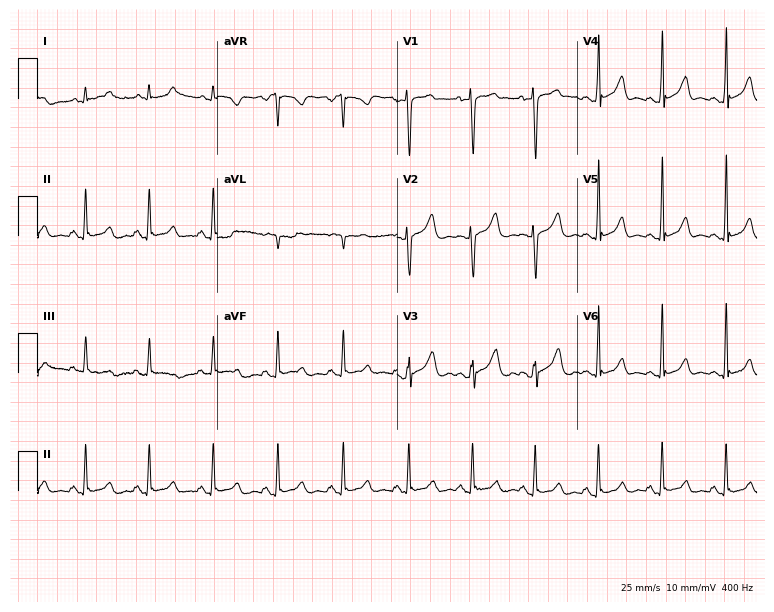
Electrocardiogram, a 59-year-old man. Overall reading on record: normal ECG.